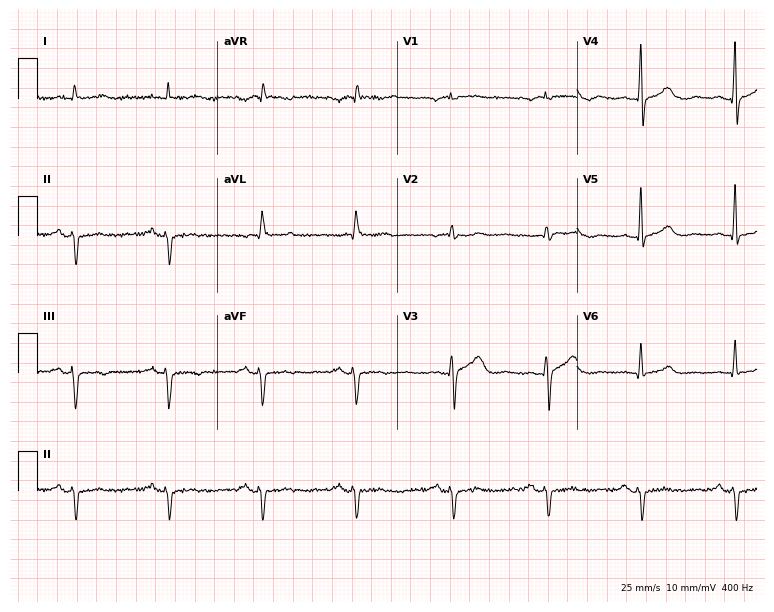
Electrocardiogram (7.3-second recording at 400 Hz), a male, 69 years old. Of the six screened findings (first-degree AV block, right bundle branch block, left bundle branch block, sinus bradycardia, atrial fibrillation, sinus tachycardia), none is recorded. Only these six findings were labelled.